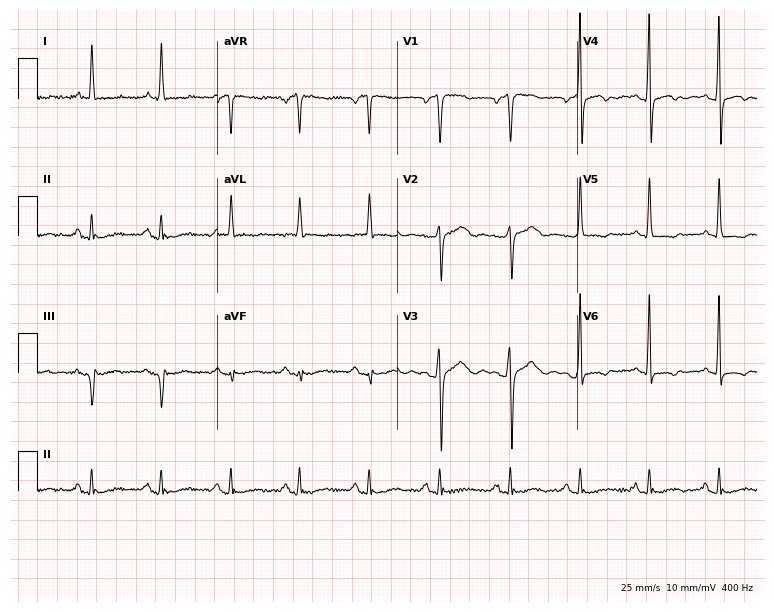
Electrocardiogram, a male patient, 50 years old. Of the six screened findings (first-degree AV block, right bundle branch block, left bundle branch block, sinus bradycardia, atrial fibrillation, sinus tachycardia), none is recorded. Only these six findings were labelled.